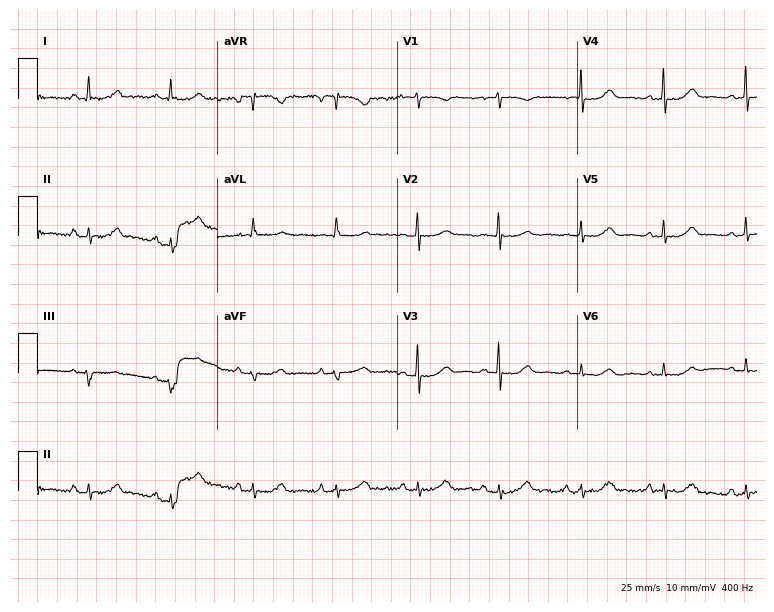
12-lead ECG (7.3-second recording at 400 Hz) from a 72-year-old female patient. Labelled as a normal ECG.